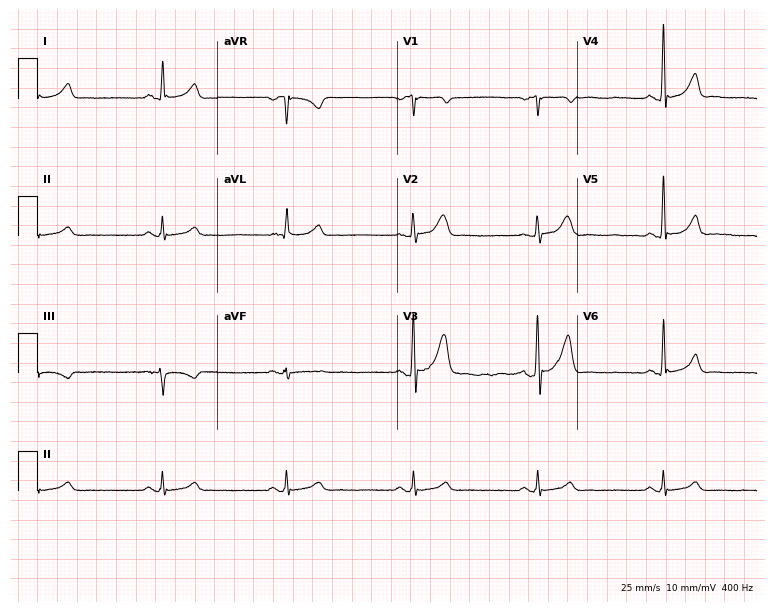
Standard 12-lead ECG recorded from a male patient, 61 years old (7.3-second recording at 400 Hz). The tracing shows sinus bradycardia (a sinus rate of 50 beats per minute or less).